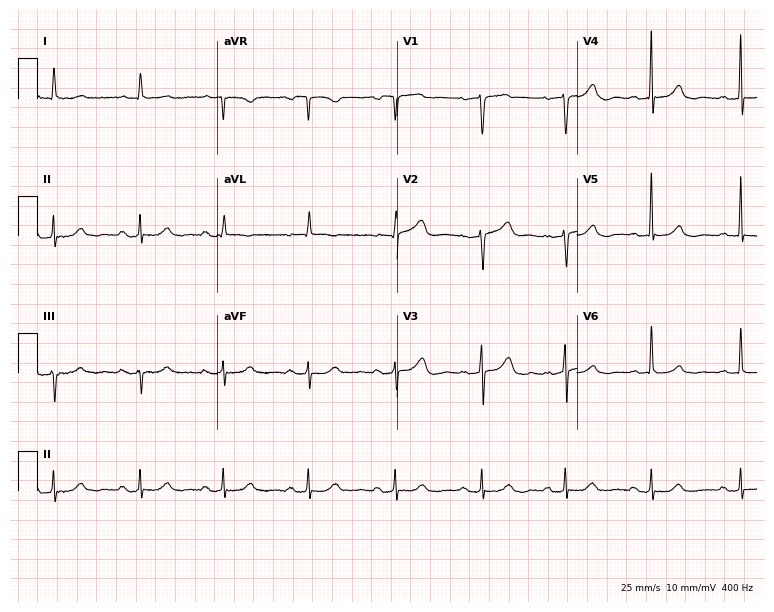
12-lead ECG from a female patient, 80 years old. Findings include first-degree AV block.